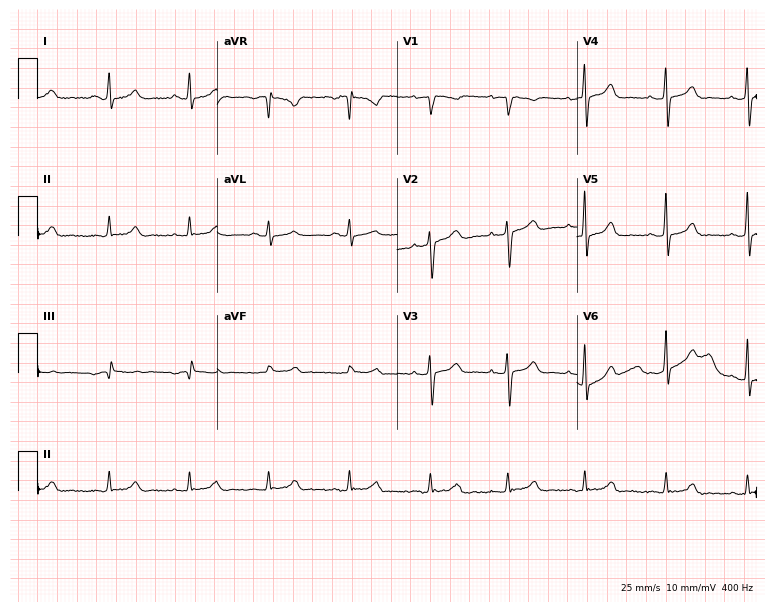
Standard 12-lead ECG recorded from a 34-year-old female patient. None of these six findings is recorded: first-degree AV block, right bundle branch block (RBBB), left bundle branch block (LBBB), sinus bradycardia, atrial fibrillation (AF), sinus tachycardia.